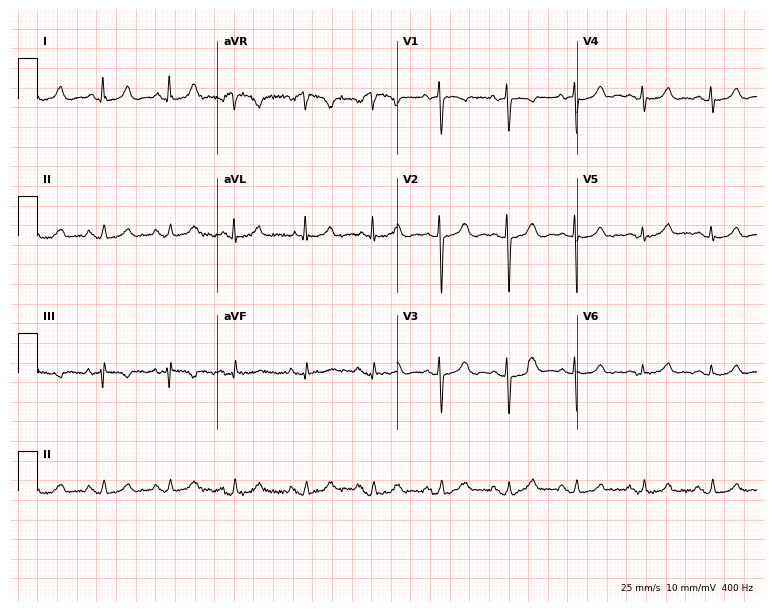
Resting 12-lead electrocardiogram (7.3-second recording at 400 Hz). Patient: an 84-year-old female. None of these six findings is recorded: first-degree AV block, right bundle branch block, left bundle branch block, sinus bradycardia, atrial fibrillation, sinus tachycardia. Other findings, if any, are not listed.